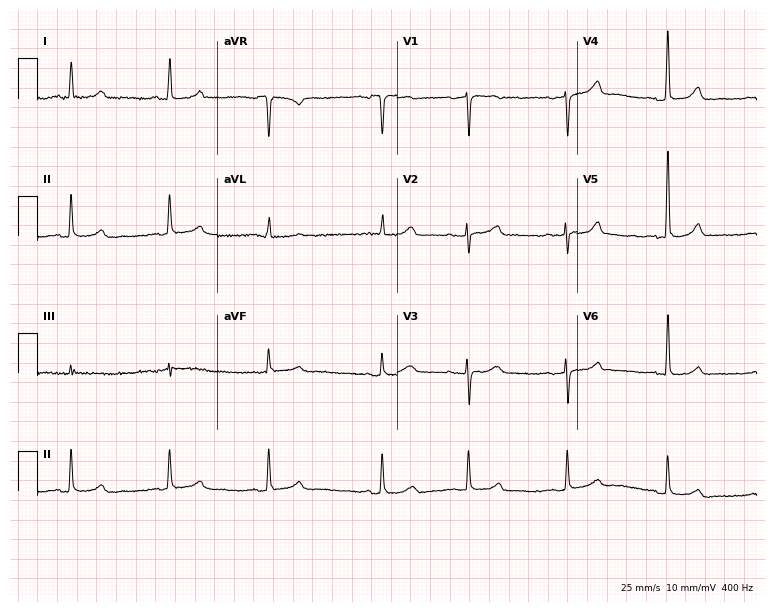
12-lead ECG from a 76-year-old woman. Recorded interpretation: within normal limits.